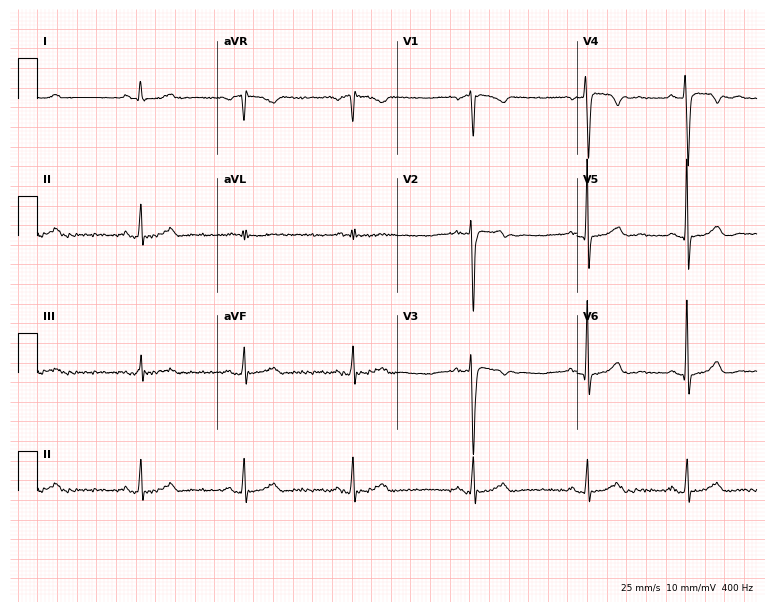
12-lead ECG from a male, 33 years old. No first-degree AV block, right bundle branch block (RBBB), left bundle branch block (LBBB), sinus bradycardia, atrial fibrillation (AF) or sinus tachycardia recorded for this tracing.